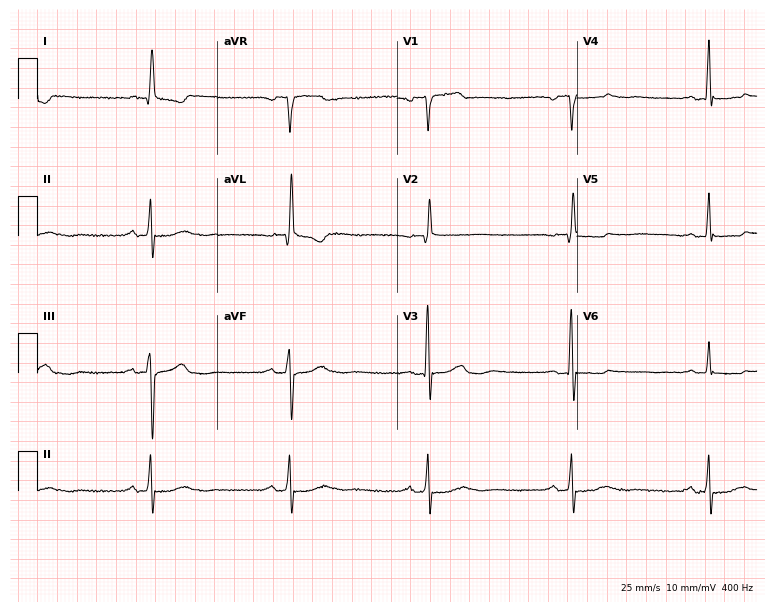
Standard 12-lead ECG recorded from a female, 73 years old (7.3-second recording at 400 Hz). The tracing shows sinus bradycardia (a sinus rate of 50 beats per minute or less).